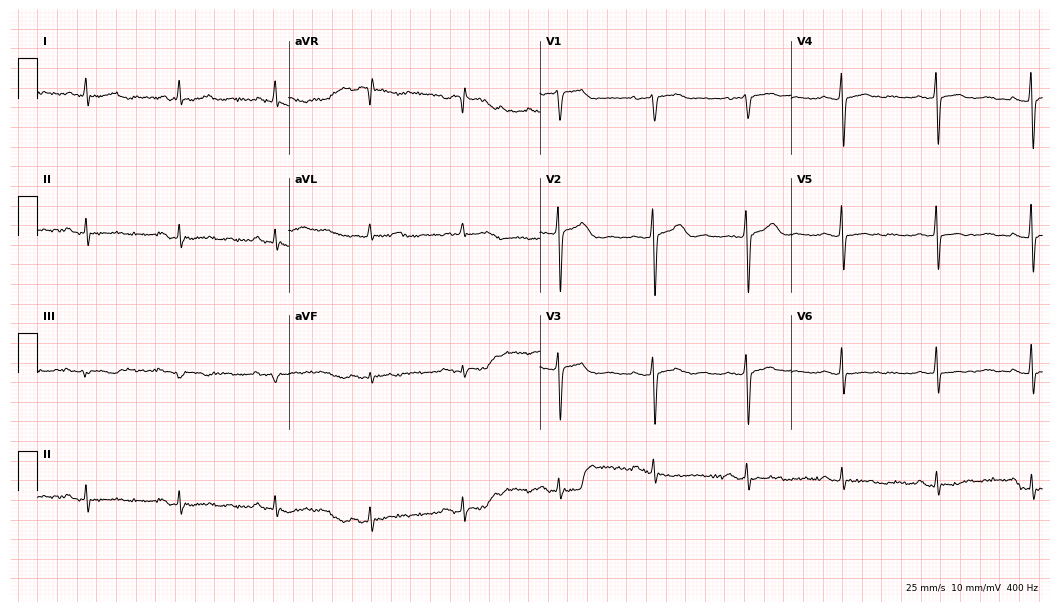
Resting 12-lead electrocardiogram (10.2-second recording at 400 Hz). Patient: an 81-year-old female. None of these six findings is recorded: first-degree AV block, right bundle branch block, left bundle branch block, sinus bradycardia, atrial fibrillation, sinus tachycardia.